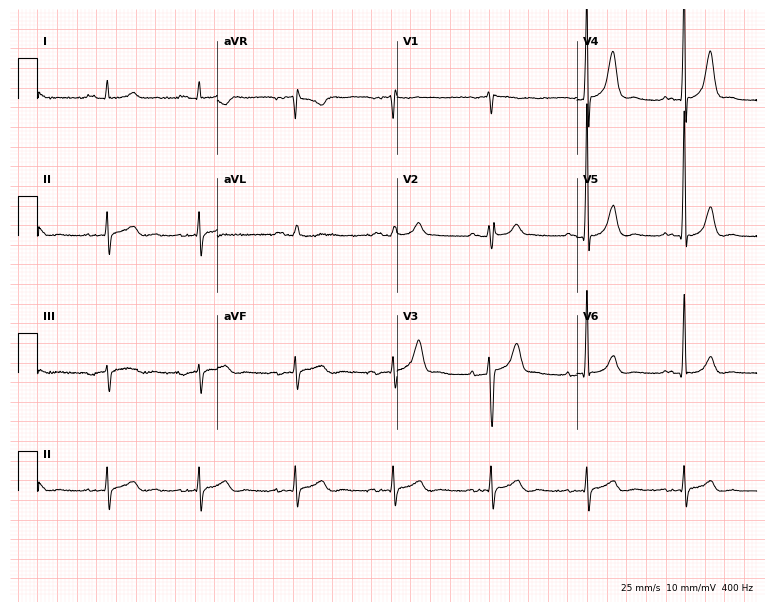
12-lead ECG from a 76-year-old male (7.3-second recording at 400 Hz). No first-degree AV block, right bundle branch block (RBBB), left bundle branch block (LBBB), sinus bradycardia, atrial fibrillation (AF) or sinus tachycardia recorded for this tracing. Findings outside these six are not listed.